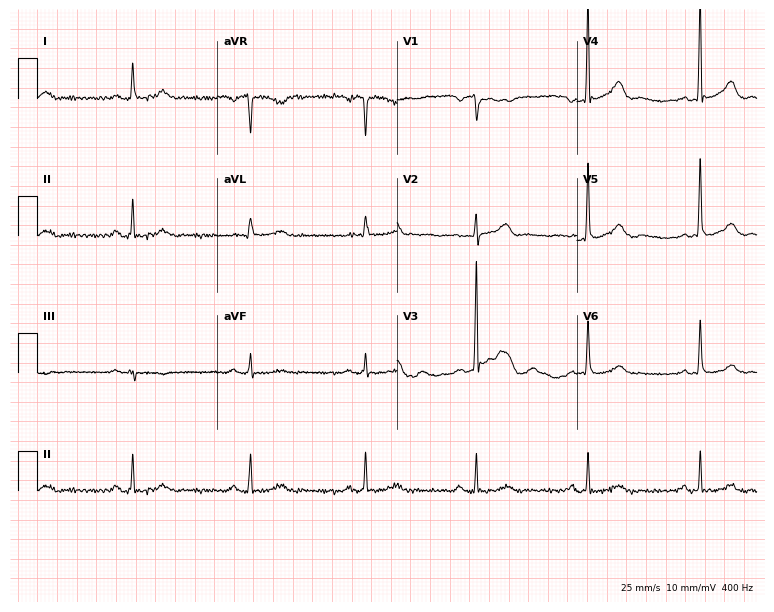
12-lead ECG from a 69-year-old male patient. No first-degree AV block, right bundle branch block, left bundle branch block, sinus bradycardia, atrial fibrillation or sinus tachycardia recorded for this tracing. Only these six findings were labelled.